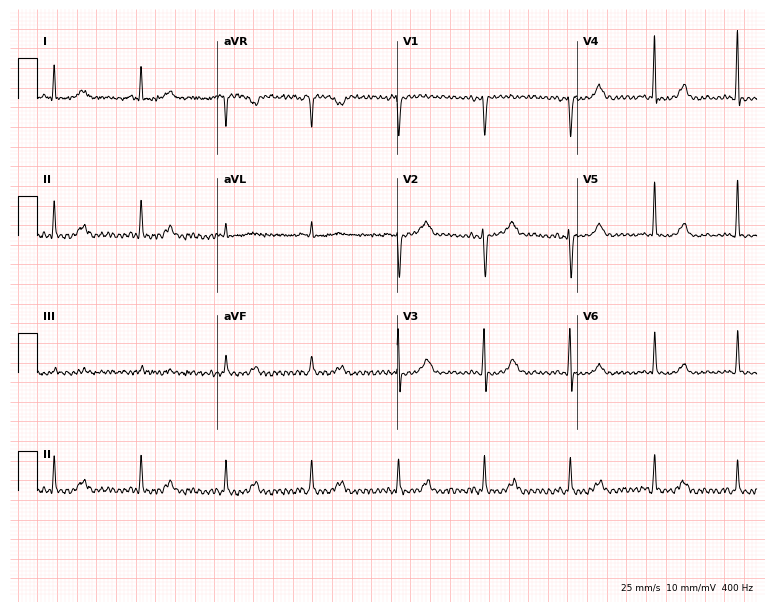
Electrocardiogram, a female, 66 years old. Of the six screened findings (first-degree AV block, right bundle branch block (RBBB), left bundle branch block (LBBB), sinus bradycardia, atrial fibrillation (AF), sinus tachycardia), none is recorded. Findings outside these six are not listed.